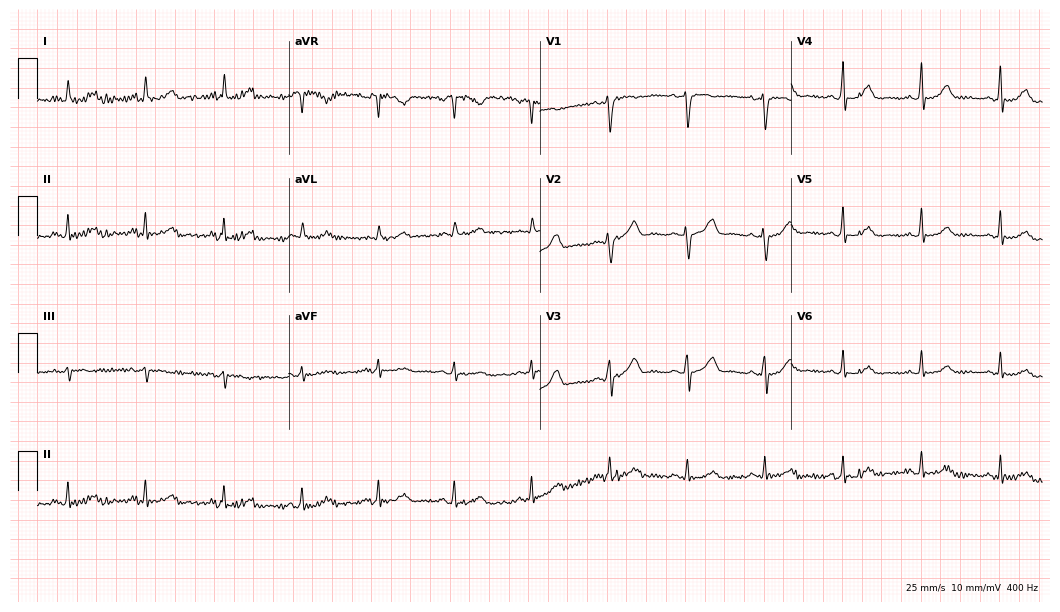
ECG (10.2-second recording at 400 Hz) — a female patient, 53 years old. Labelled as a normal ECG.